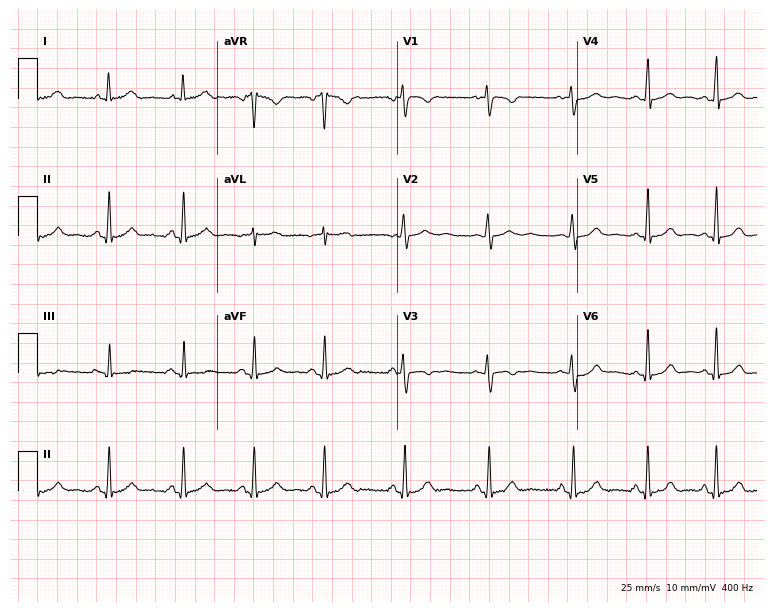
12-lead ECG from a 28-year-old female patient (7.3-second recording at 400 Hz). No first-degree AV block, right bundle branch block, left bundle branch block, sinus bradycardia, atrial fibrillation or sinus tachycardia recorded for this tracing.